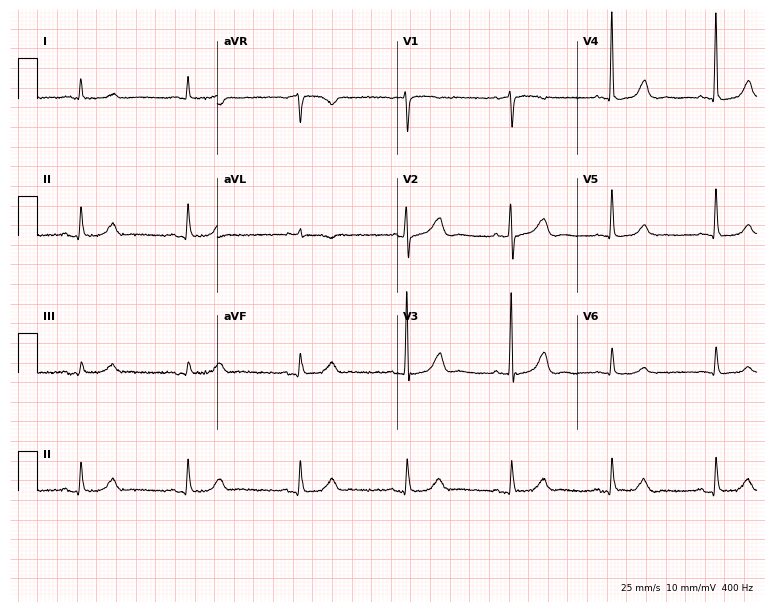
Standard 12-lead ECG recorded from a 65-year-old female (7.3-second recording at 400 Hz). None of these six findings is recorded: first-degree AV block, right bundle branch block (RBBB), left bundle branch block (LBBB), sinus bradycardia, atrial fibrillation (AF), sinus tachycardia. Only these six findings were labelled.